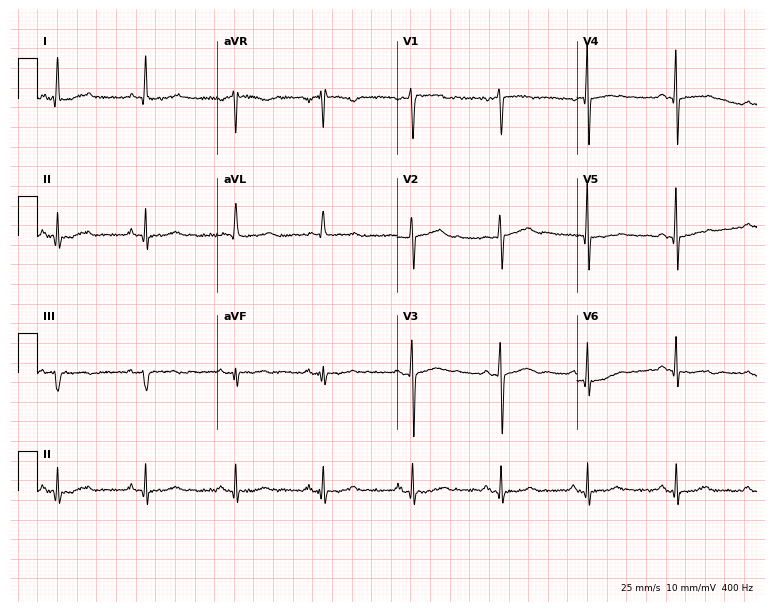
Resting 12-lead electrocardiogram. Patient: a 48-year-old woman. None of these six findings is recorded: first-degree AV block, right bundle branch block, left bundle branch block, sinus bradycardia, atrial fibrillation, sinus tachycardia.